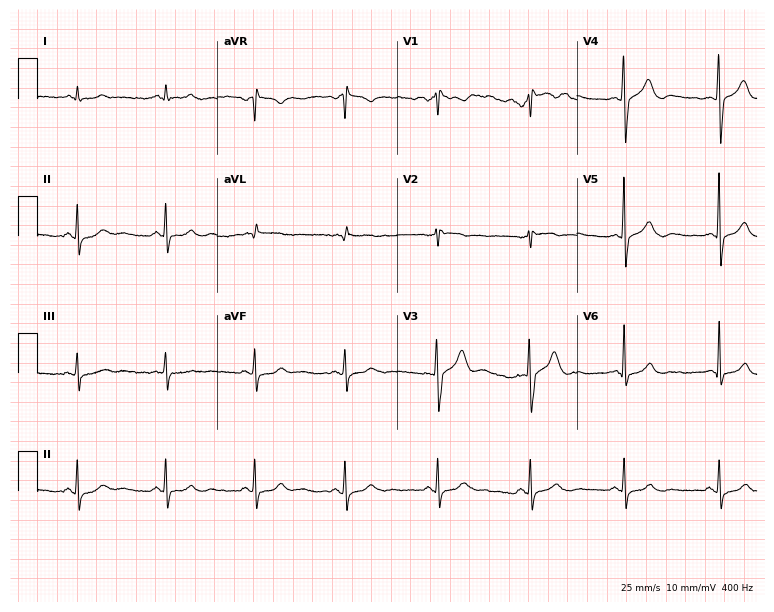
ECG (7.3-second recording at 400 Hz) — a 59-year-old male. Labelled as a normal ECG.